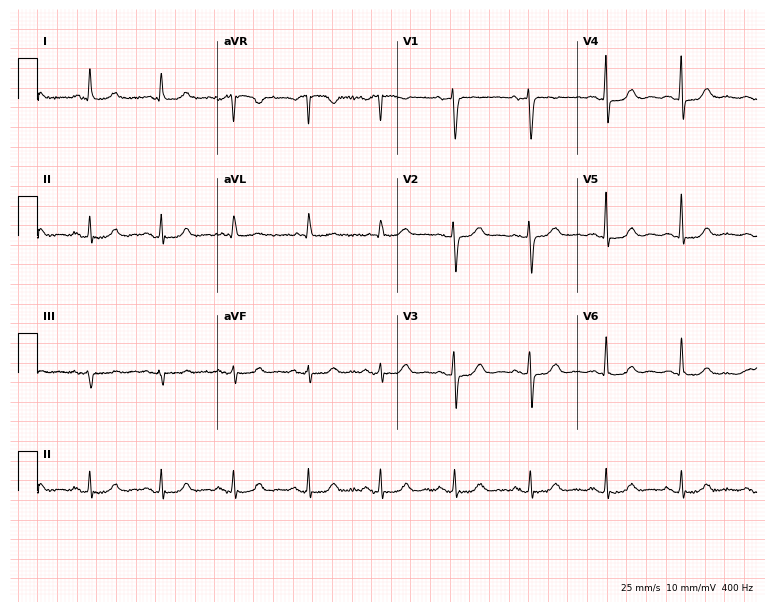
12-lead ECG from a female patient, 76 years old (7.3-second recording at 400 Hz). No first-degree AV block, right bundle branch block, left bundle branch block, sinus bradycardia, atrial fibrillation or sinus tachycardia recorded for this tracing. Other findings, if any, are not listed.